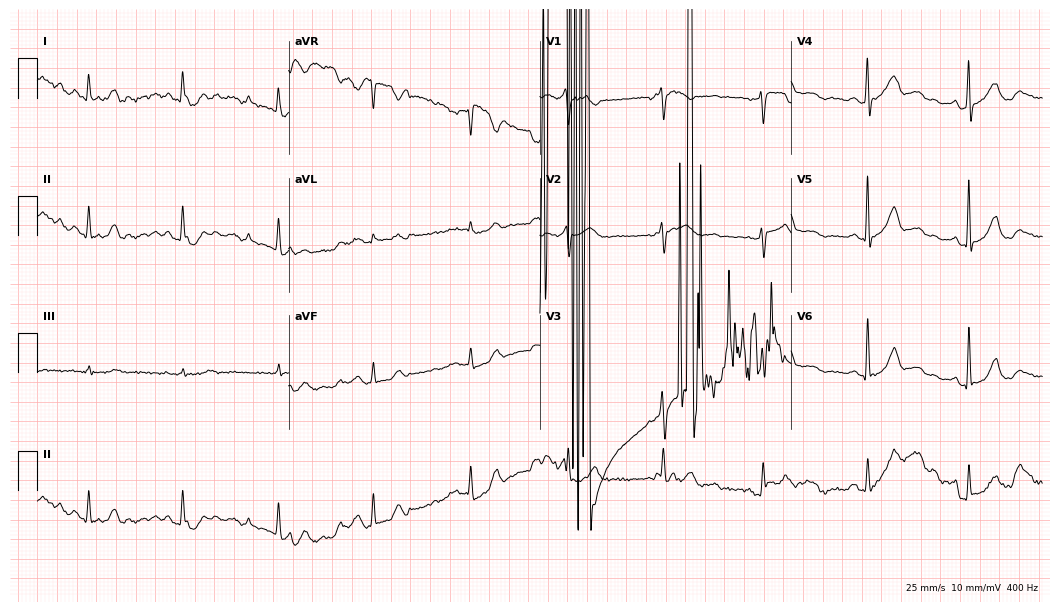
Resting 12-lead electrocardiogram (10.2-second recording at 400 Hz). Patient: a 67-year-old man. The tracing shows sinus bradycardia (a sinus rate of 50 beats per minute or less).